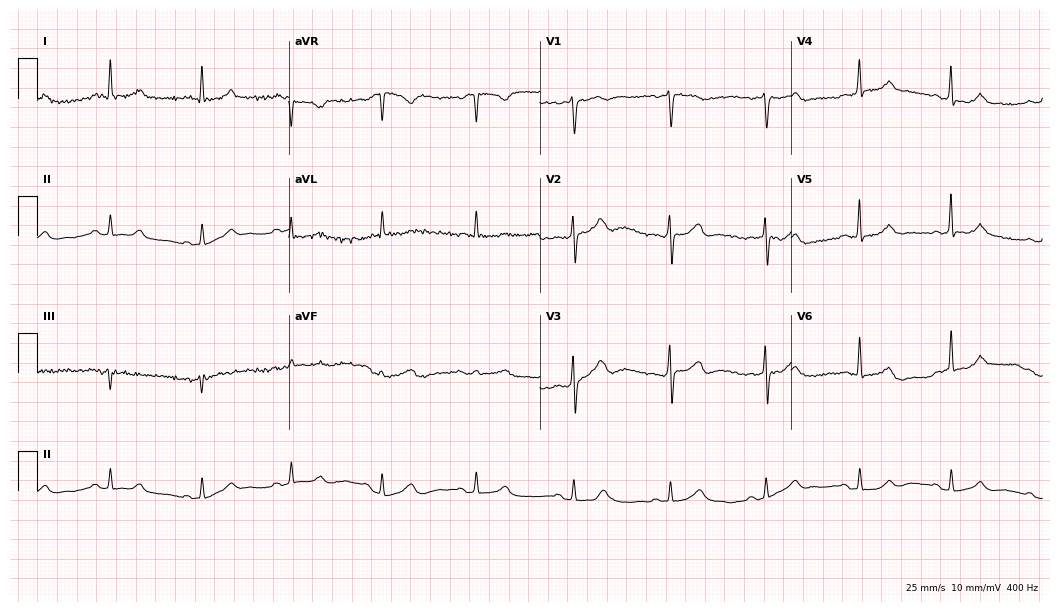
ECG (10.2-second recording at 400 Hz) — a female patient, 57 years old. Labelled as a normal ECG.